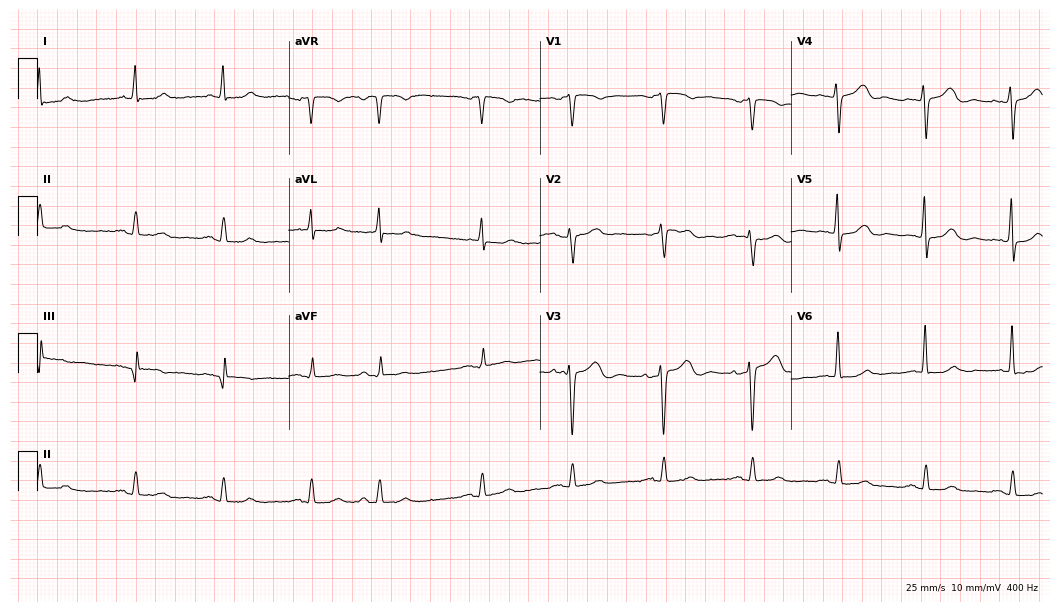
12-lead ECG from an 84-year-old male. No first-degree AV block, right bundle branch block, left bundle branch block, sinus bradycardia, atrial fibrillation or sinus tachycardia recorded for this tracing.